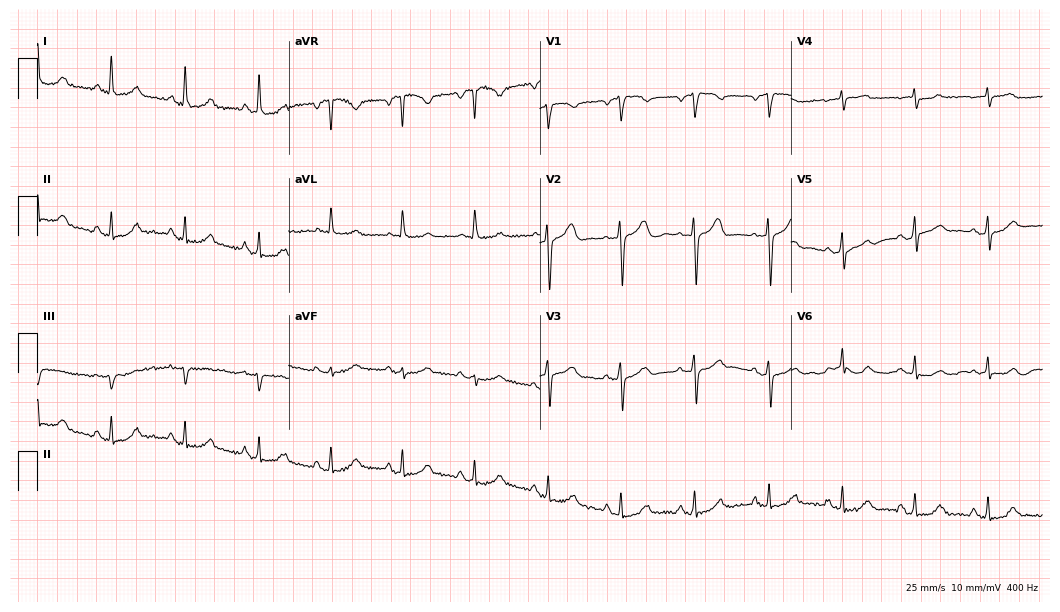
Standard 12-lead ECG recorded from a 65-year-old woman. None of these six findings is recorded: first-degree AV block, right bundle branch block, left bundle branch block, sinus bradycardia, atrial fibrillation, sinus tachycardia.